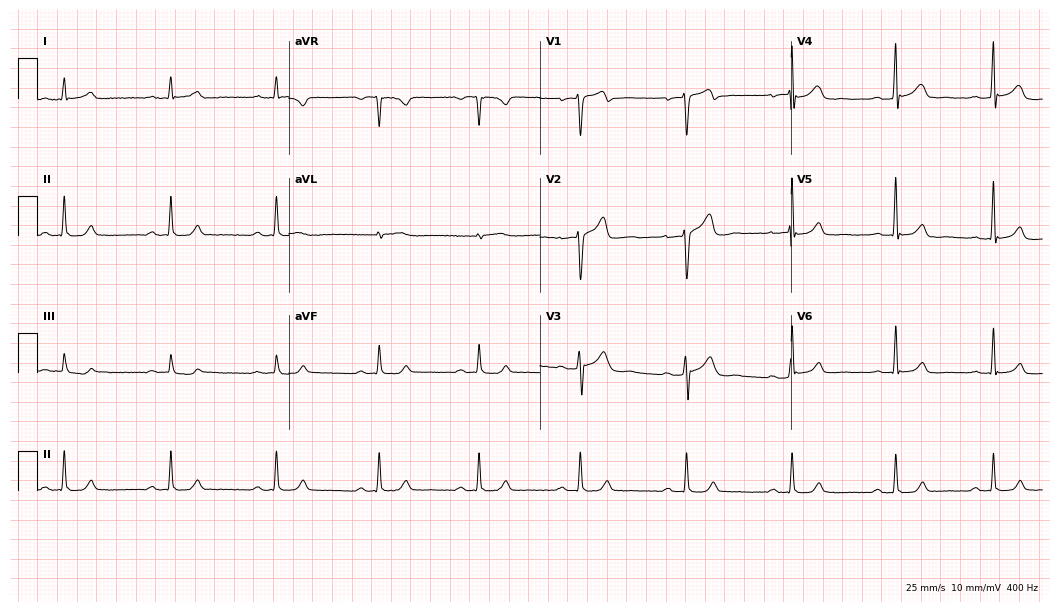
Resting 12-lead electrocardiogram (10.2-second recording at 400 Hz). Patient: a 37-year-old female. Read as a normal ECG.